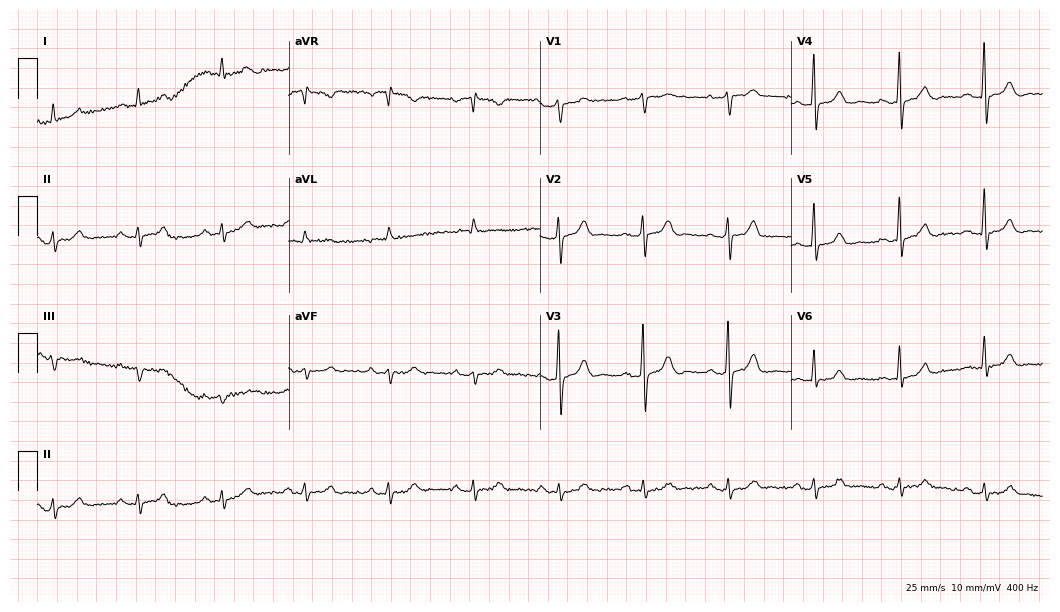
12-lead ECG from a male, 78 years old (10.2-second recording at 400 Hz). No first-degree AV block, right bundle branch block (RBBB), left bundle branch block (LBBB), sinus bradycardia, atrial fibrillation (AF) or sinus tachycardia recorded for this tracing. Other findings, if any, are not listed.